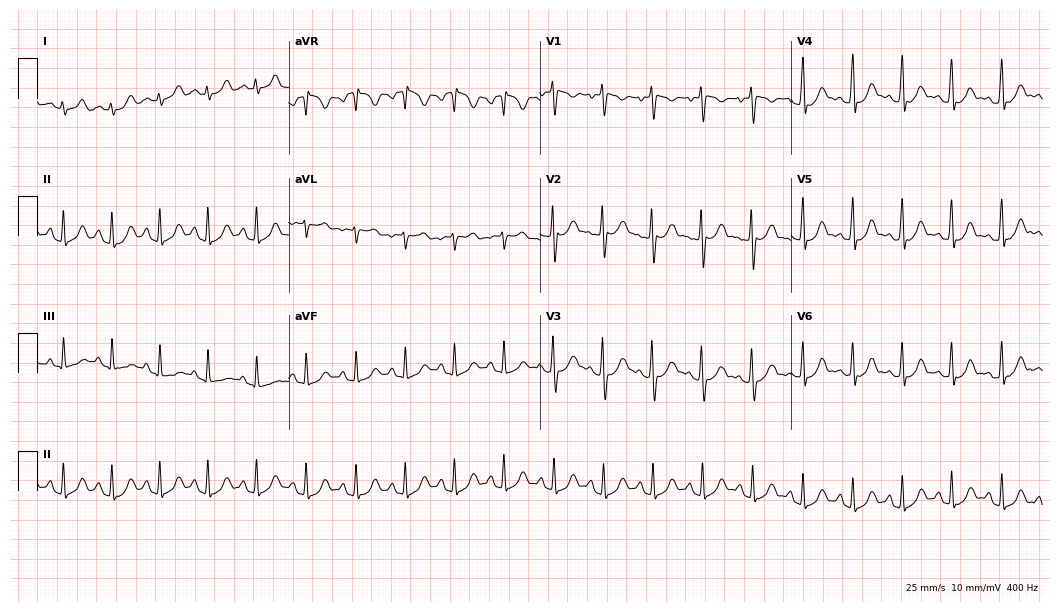
ECG — a female, 20 years old. Findings include sinus tachycardia (a sinus rate of 100 beats per minute or more).